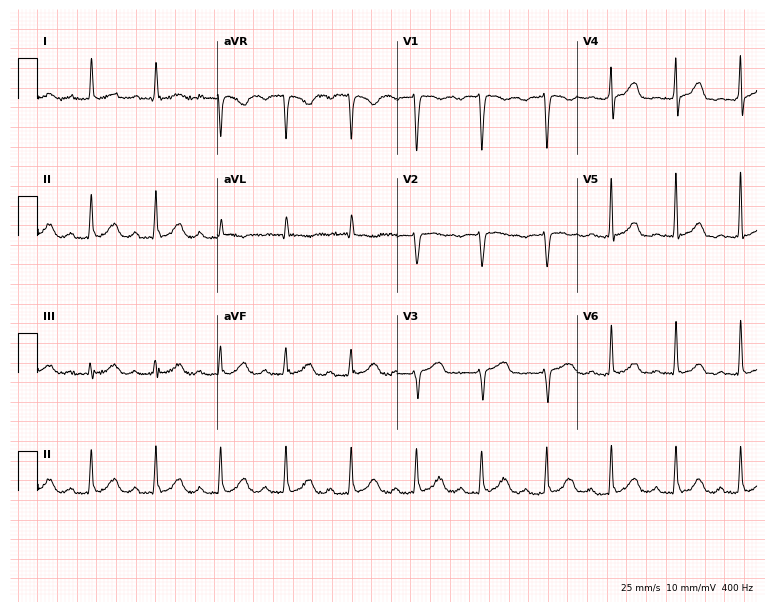
12-lead ECG (7.3-second recording at 400 Hz) from a woman, 68 years old. Findings include first-degree AV block.